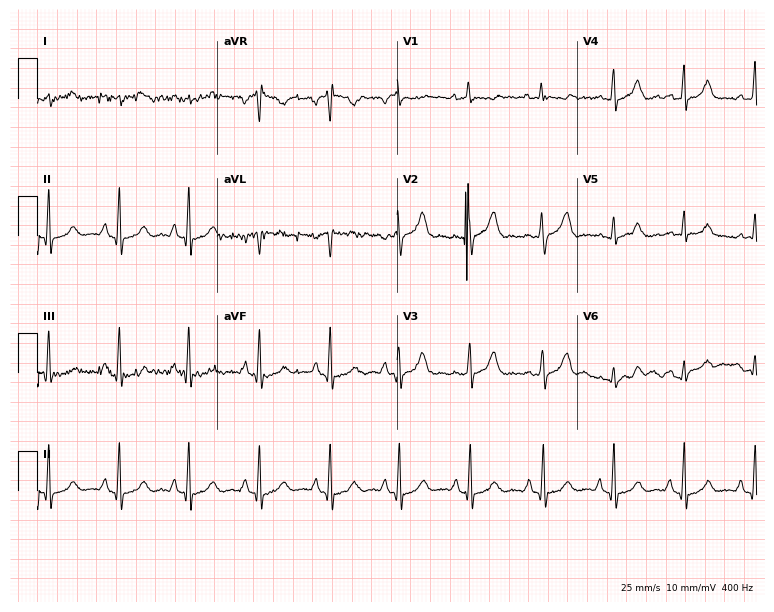
12-lead ECG from a man, 69 years old. Screened for six findings — first-degree AV block, right bundle branch block, left bundle branch block, sinus bradycardia, atrial fibrillation, sinus tachycardia — none is recorded. Only these six findings were labelled.